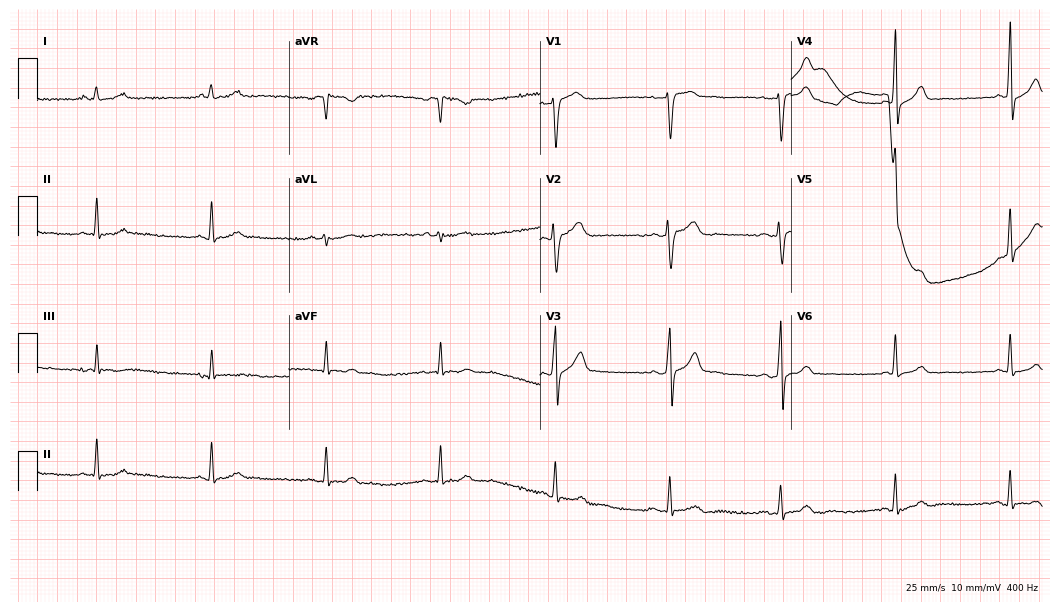
Standard 12-lead ECG recorded from a 28-year-old female patient. None of these six findings is recorded: first-degree AV block, right bundle branch block (RBBB), left bundle branch block (LBBB), sinus bradycardia, atrial fibrillation (AF), sinus tachycardia.